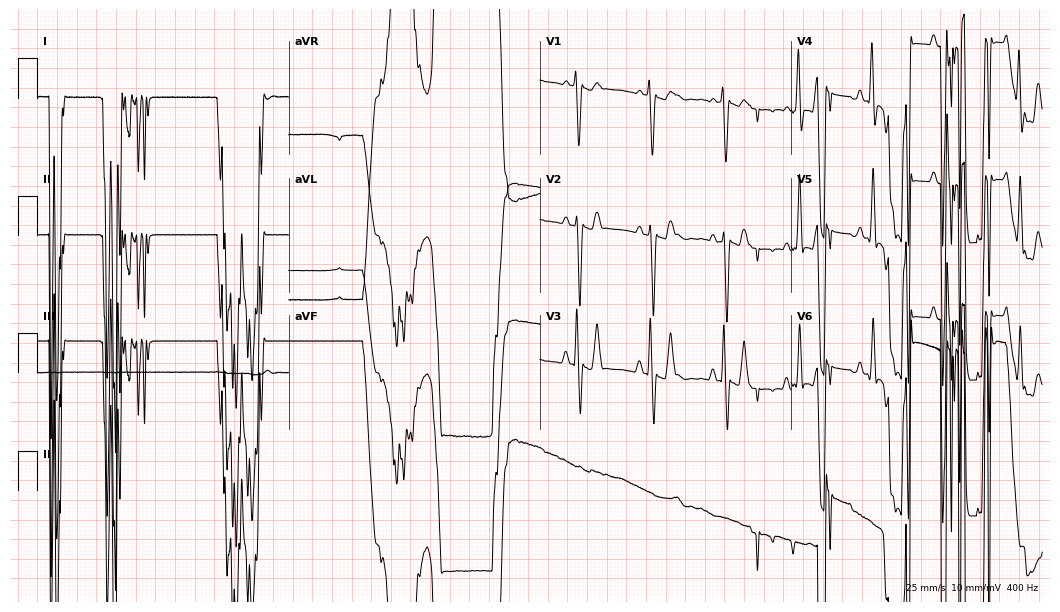
12-lead ECG from a man, 35 years old (10.2-second recording at 400 Hz). No first-degree AV block, right bundle branch block, left bundle branch block, sinus bradycardia, atrial fibrillation or sinus tachycardia recorded for this tracing. Other findings, if any, are not listed.